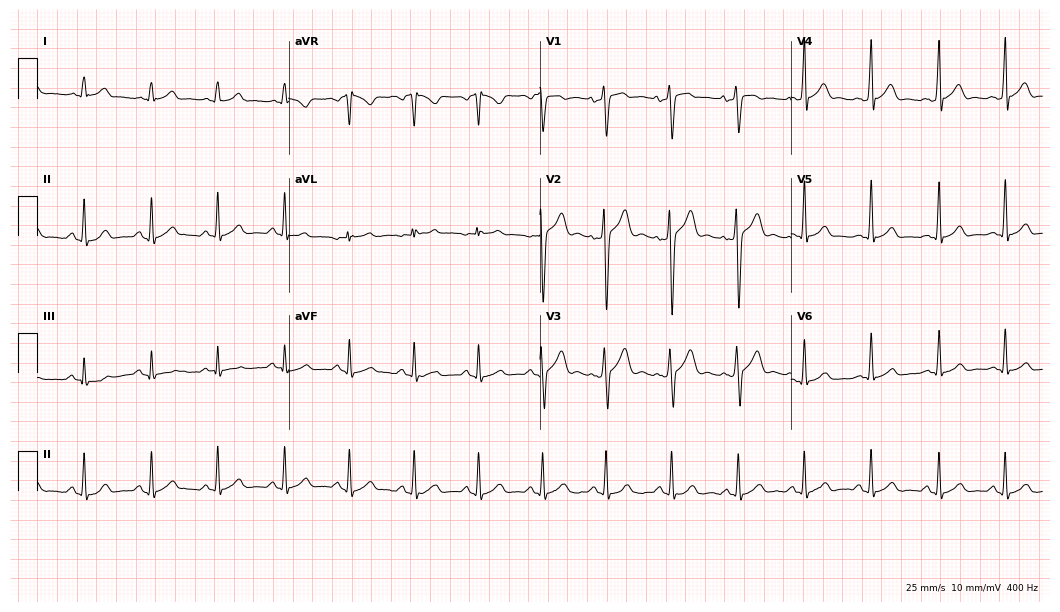
ECG — a man, 24 years old. Labelled as a normal ECG.